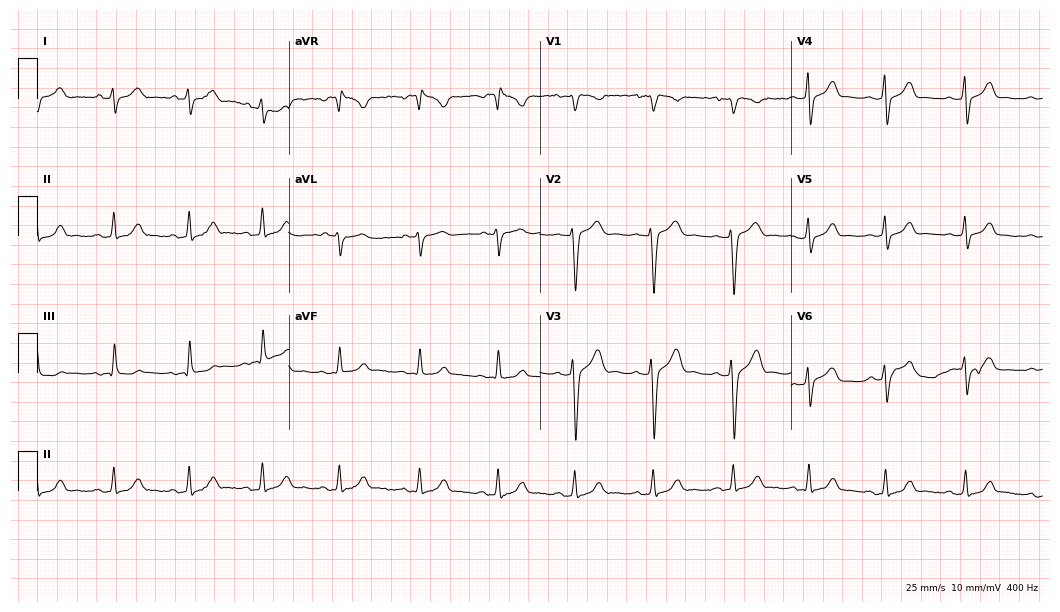
12-lead ECG from a 20-year-old female. Labelled as a normal ECG.